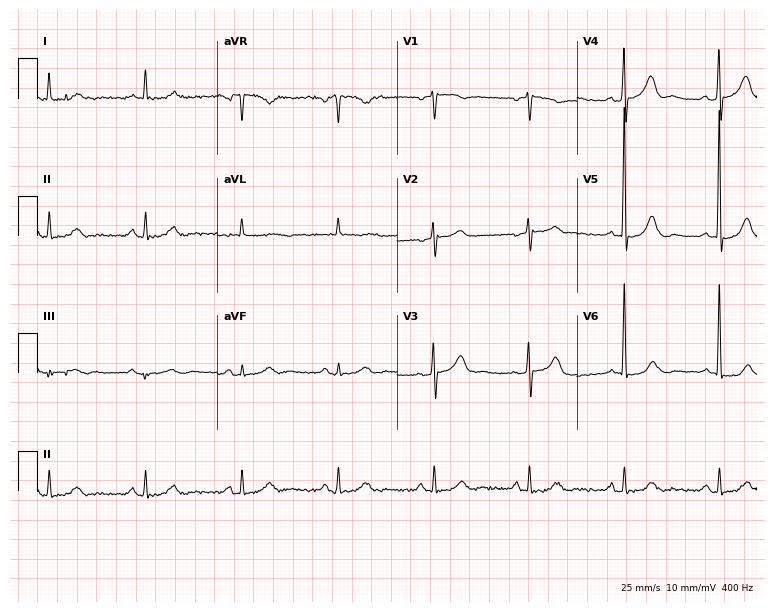
12-lead ECG from an 85-year-old male (7.3-second recording at 400 Hz). No first-degree AV block, right bundle branch block (RBBB), left bundle branch block (LBBB), sinus bradycardia, atrial fibrillation (AF) or sinus tachycardia recorded for this tracing. Findings outside these six are not listed.